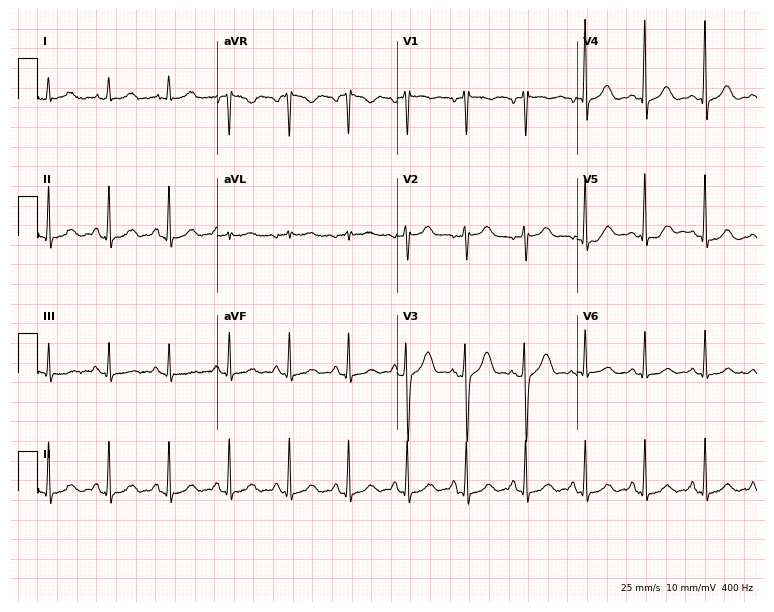
Standard 12-lead ECG recorded from a female, 51 years old (7.3-second recording at 400 Hz). Read as a normal ECG.